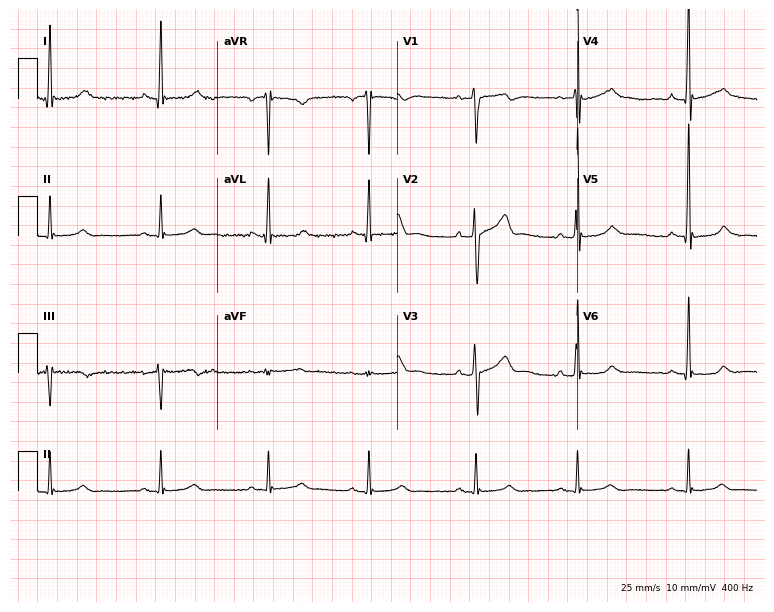
Resting 12-lead electrocardiogram (7.3-second recording at 400 Hz). Patient: a 37-year-old male. Read as a normal ECG.